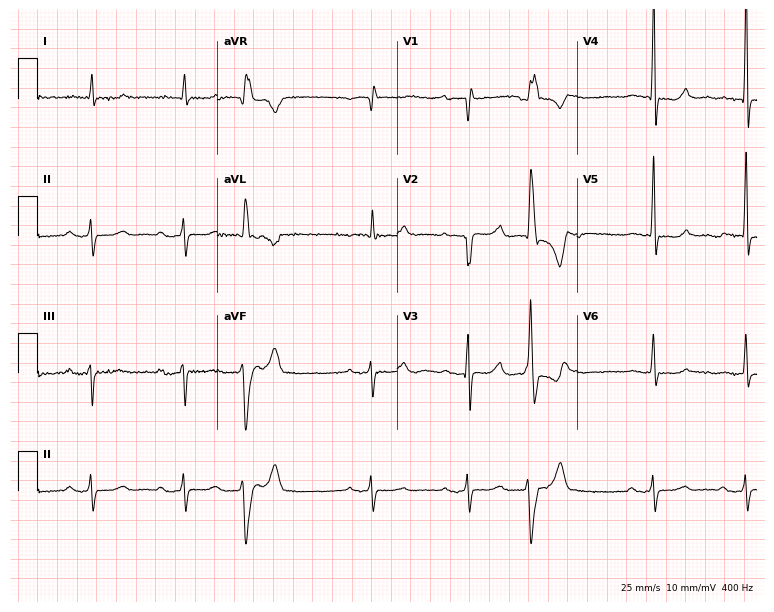
ECG (7.3-second recording at 400 Hz) — an 84-year-old female patient. Findings include first-degree AV block.